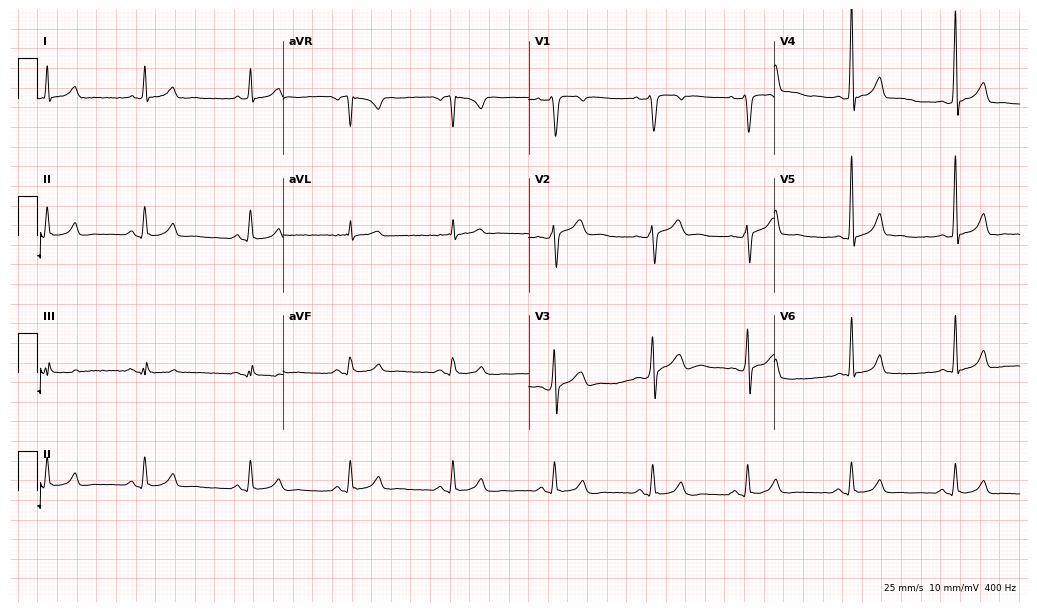
12-lead ECG from a male patient, 37 years old (10-second recording at 400 Hz). Recorded interpretation: within normal limits.